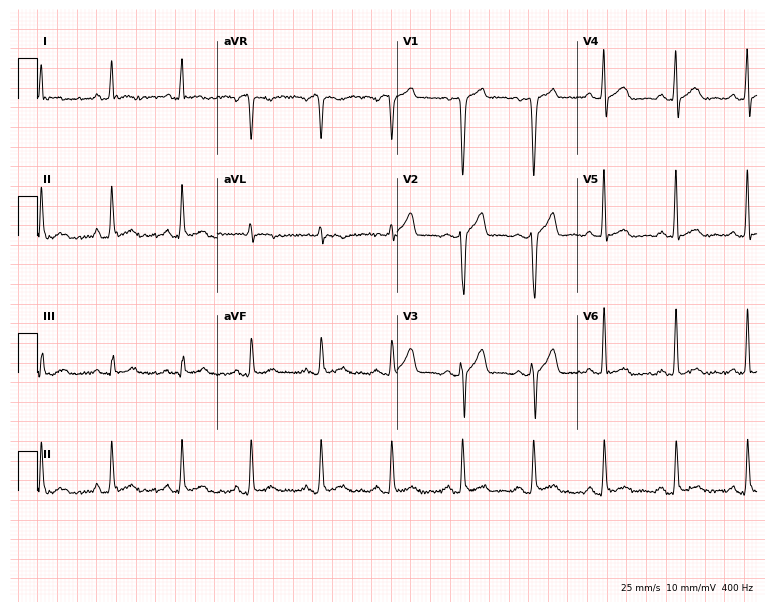
ECG — a male patient, 43 years old. Screened for six findings — first-degree AV block, right bundle branch block, left bundle branch block, sinus bradycardia, atrial fibrillation, sinus tachycardia — none is recorded.